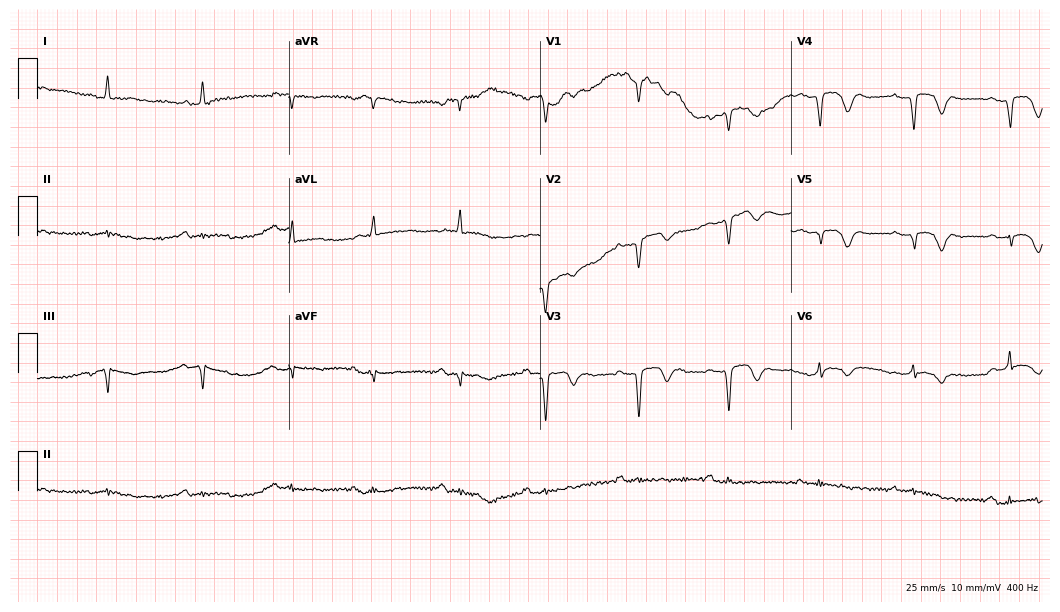
Standard 12-lead ECG recorded from a 79-year-old male. None of these six findings is recorded: first-degree AV block, right bundle branch block, left bundle branch block, sinus bradycardia, atrial fibrillation, sinus tachycardia. Other findings, if any, are not listed.